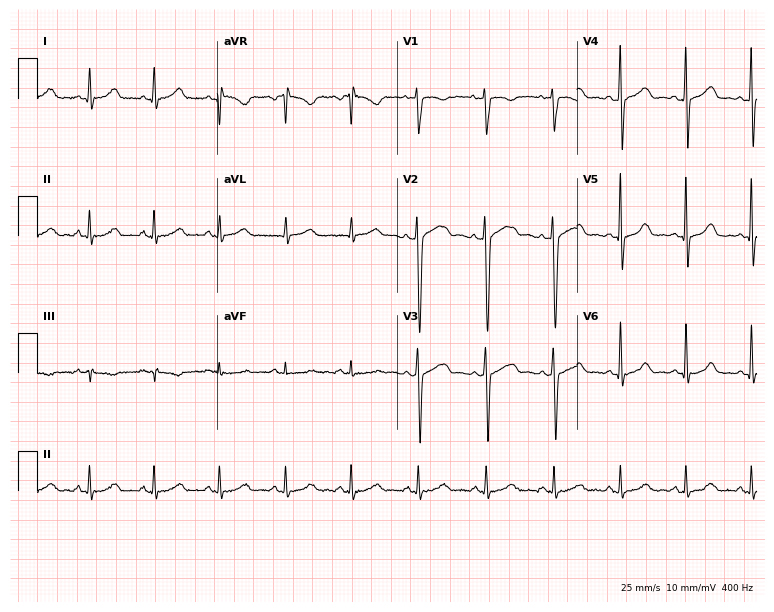
12-lead ECG from a male patient, 46 years old (7.3-second recording at 400 Hz). Recorded interpretation: within normal limits.